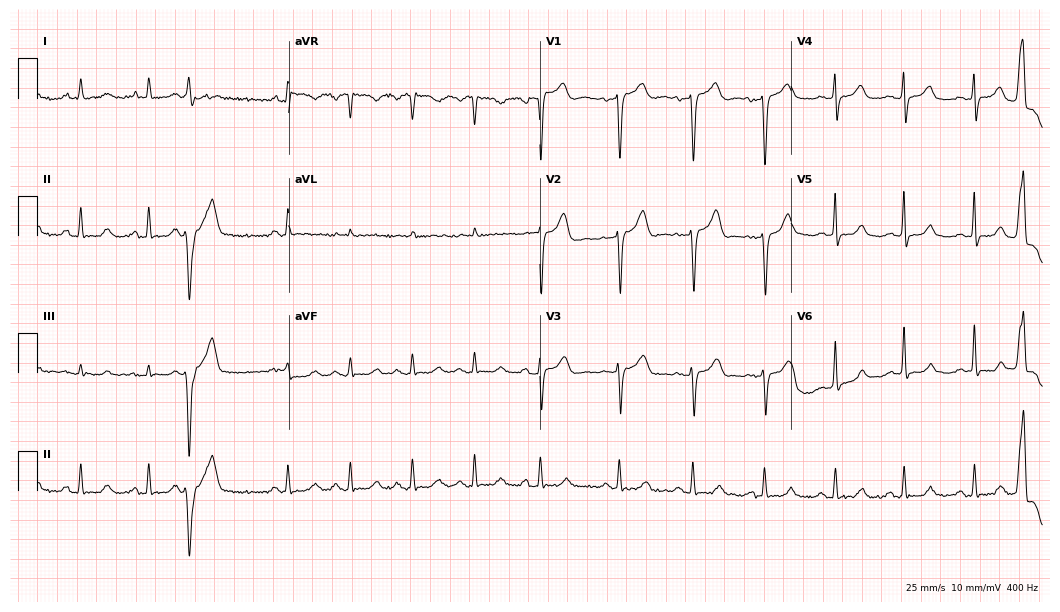
Standard 12-lead ECG recorded from a 58-year-old female patient (10.2-second recording at 400 Hz). None of these six findings is recorded: first-degree AV block, right bundle branch block, left bundle branch block, sinus bradycardia, atrial fibrillation, sinus tachycardia. Other findings, if any, are not listed.